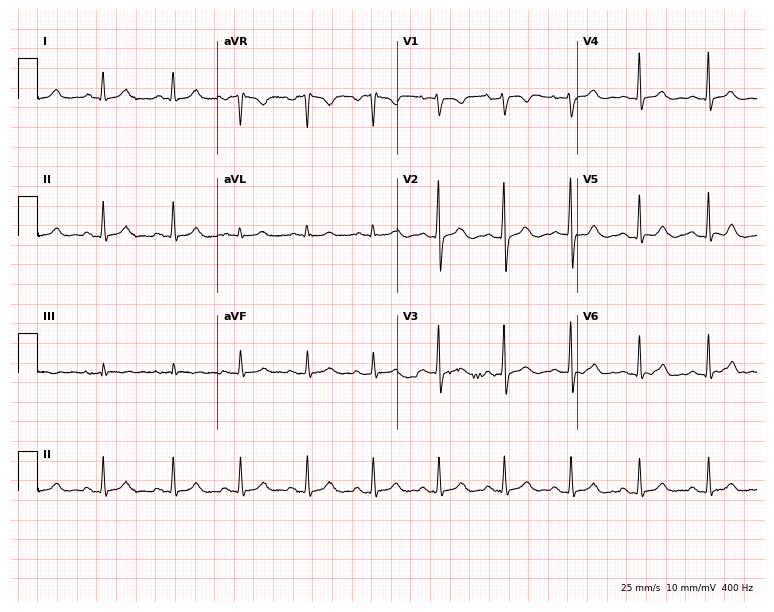
ECG — a 35-year-old female. Labelled as a normal ECG.